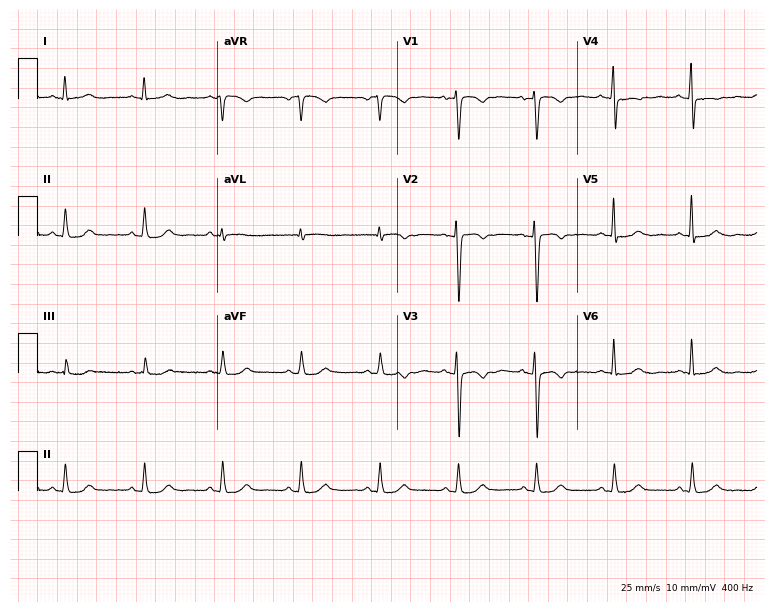
Electrocardiogram, a female patient, 47 years old. Of the six screened findings (first-degree AV block, right bundle branch block (RBBB), left bundle branch block (LBBB), sinus bradycardia, atrial fibrillation (AF), sinus tachycardia), none is recorded. Only these six findings were labelled.